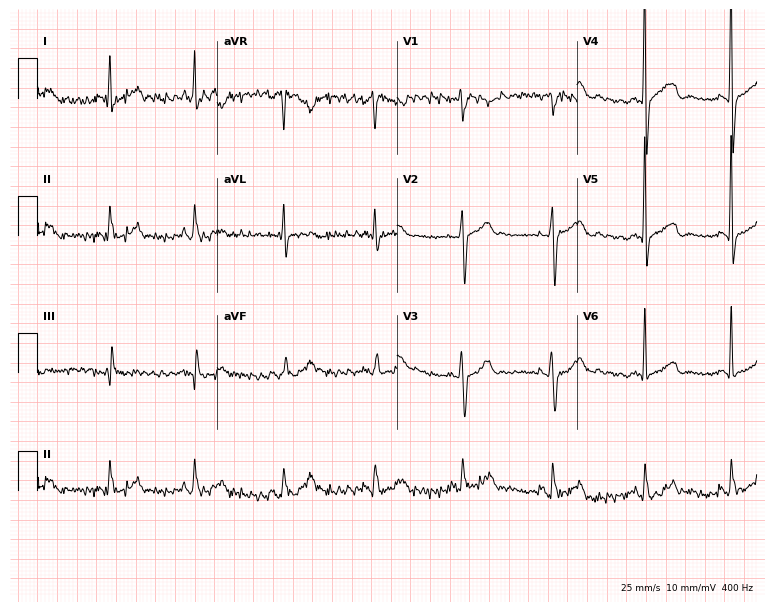
12-lead ECG (7.3-second recording at 400 Hz) from a male patient, 44 years old. Screened for six findings — first-degree AV block, right bundle branch block, left bundle branch block, sinus bradycardia, atrial fibrillation, sinus tachycardia — none is recorded.